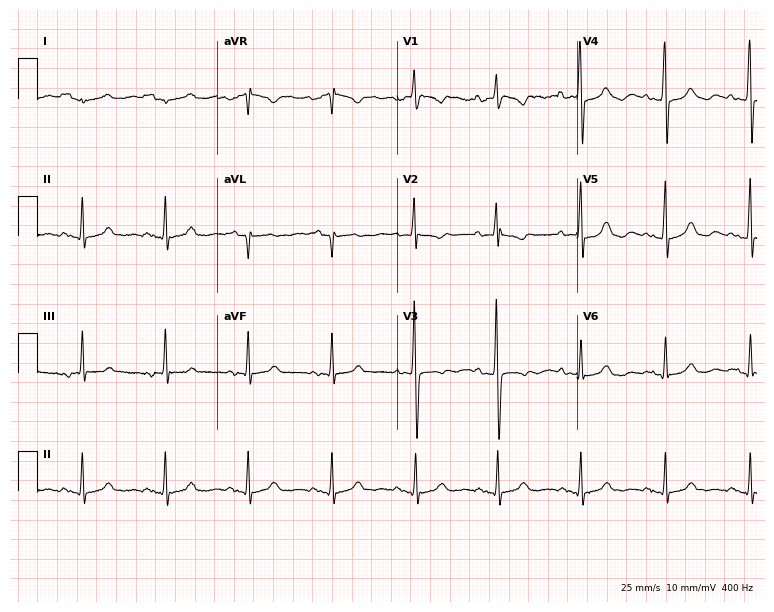
12-lead ECG (7.3-second recording at 400 Hz) from a female, 27 years old. Screened for six findings — first-degree AV block, right bundle branch block, left bundle branch block, sinus bradycardia, atrial fibrillation, sinus tachycardia — none is recorded.